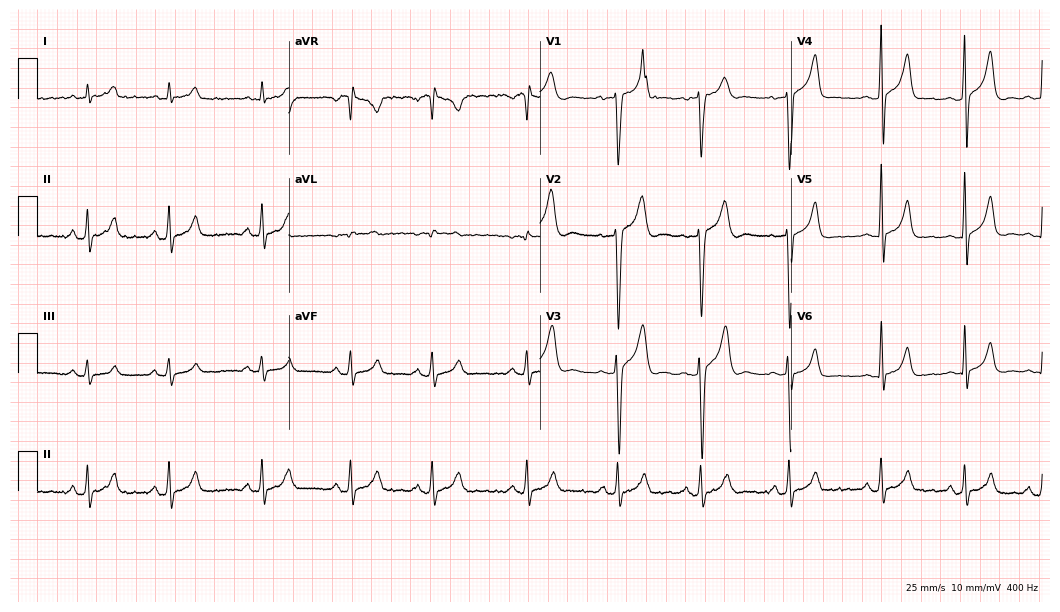
12-lead ECG from a 19-year-old male patient. Labelled as a normal ECG.